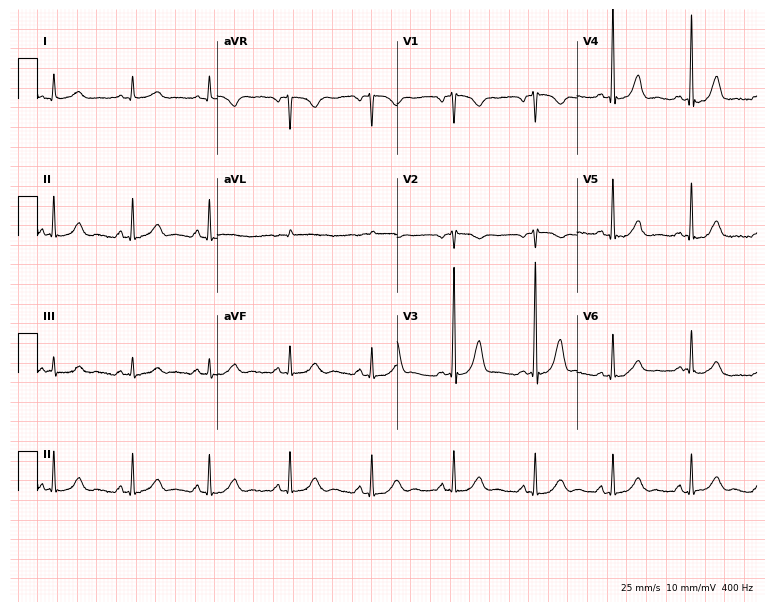
12-lead ECG from a 56-year-old woman. Labelled as a normal ECG.